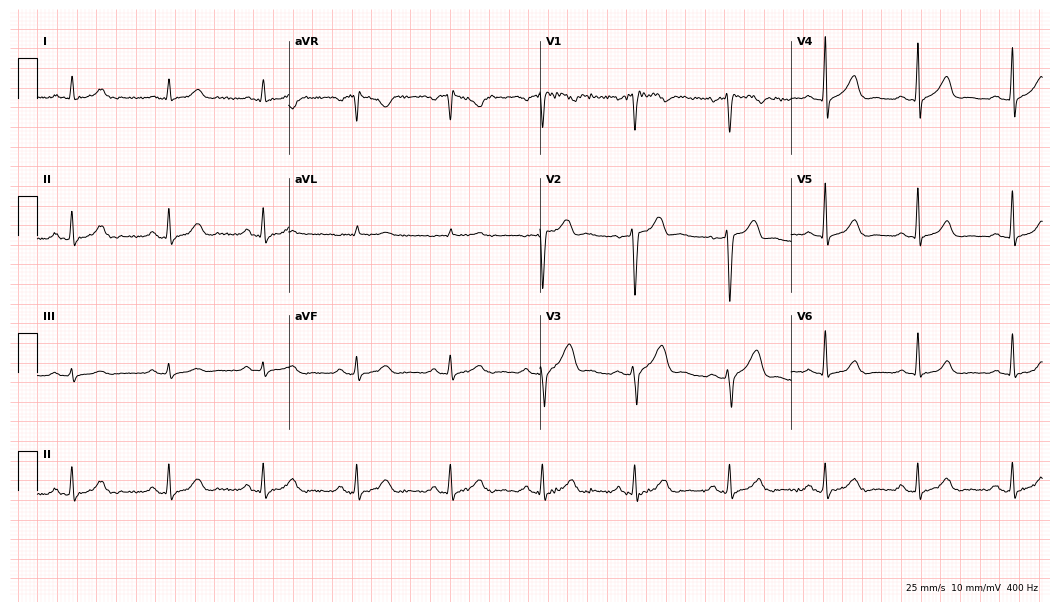
Electrocardiogram, a 53-year-old man. Of the six screened findings (first-degree AV block, right bundle branch block, left bundle branch block, sinus bradycardia, atrial fibrillation, sinus tachycardia), none is recorded.